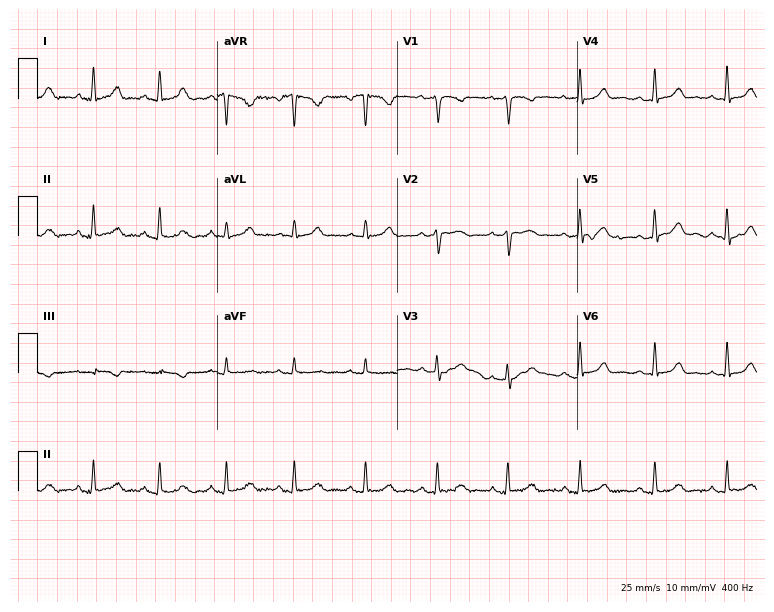
Standard 12-lead ECG recorded from a 41-year-old female patient. Read as a normal ECG.